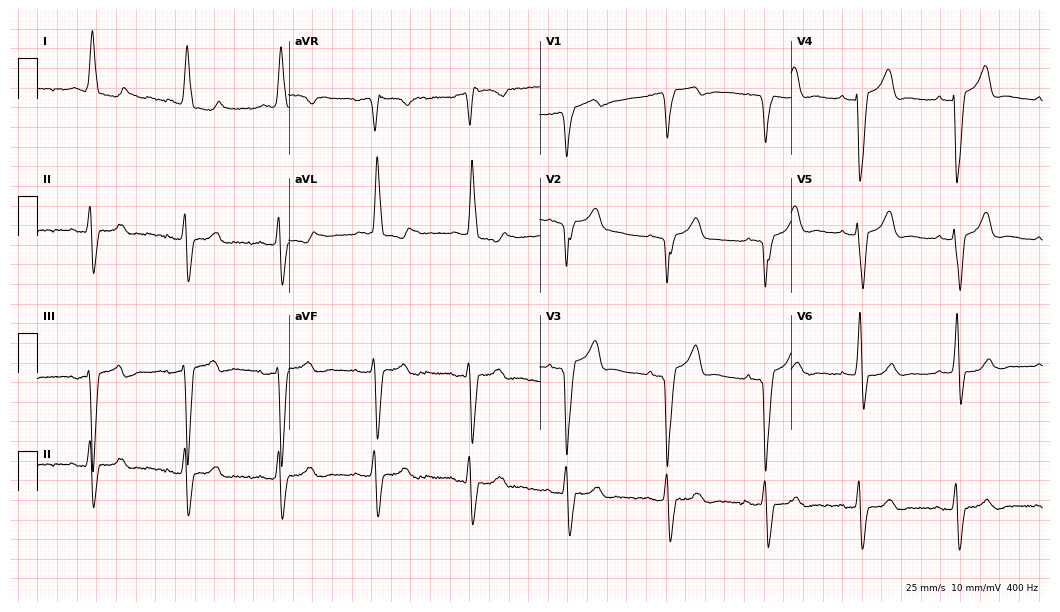
12-lead ECG from an 82-year-old woman. Shows left bundle branch block (LBBB).